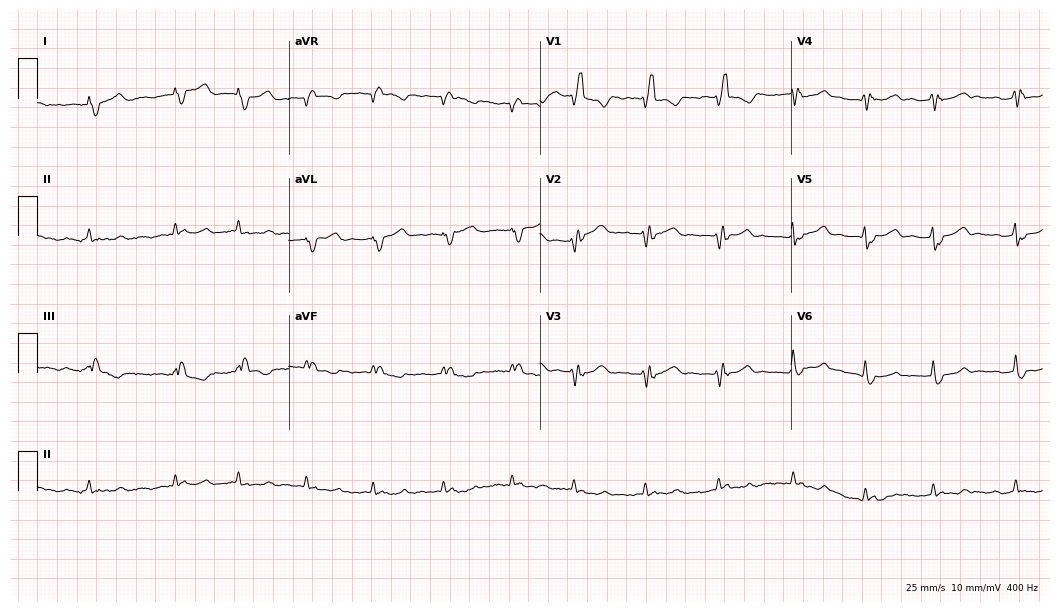
Electrocardiogram, an 81-year-old female. Of the six screened findings (first-degree AV block, right bundle branch block (RBBB), left bundle branch block (LBBB), sinus bradycardia, atrial fibrillation (AF), sinus tachycardia), none is recorded.